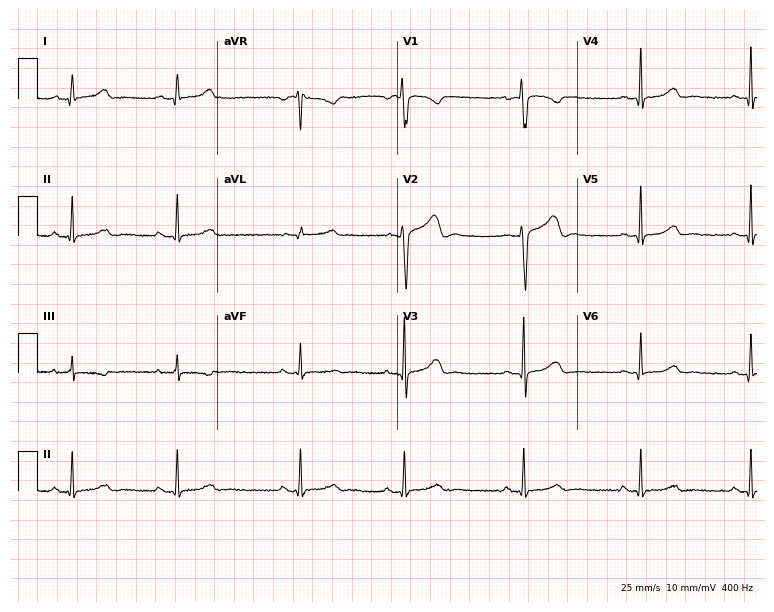
Standard 12-lead ECG recorded from a 24-year-old female patient. Read as a normal ECG.